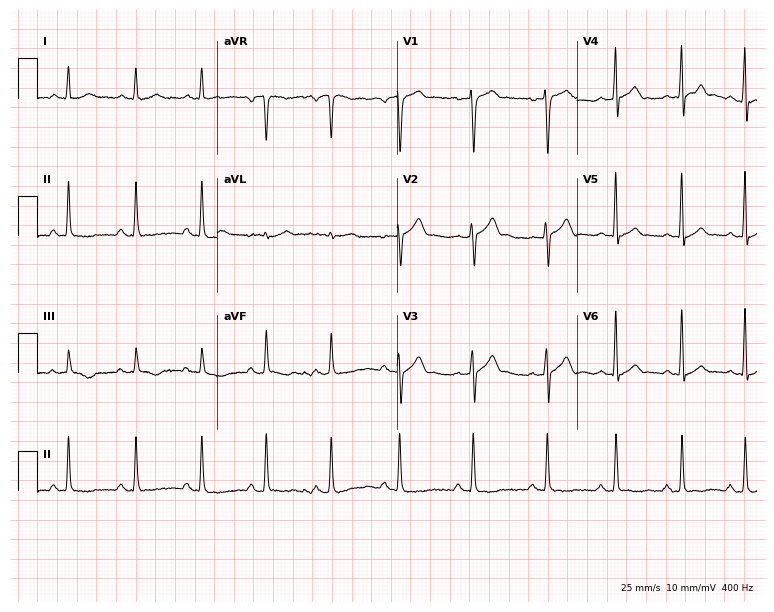
Electrocardiogram (7.3-second recording at 400 Hz), a 37-year-old male. Overall reading on record: normal ECG.